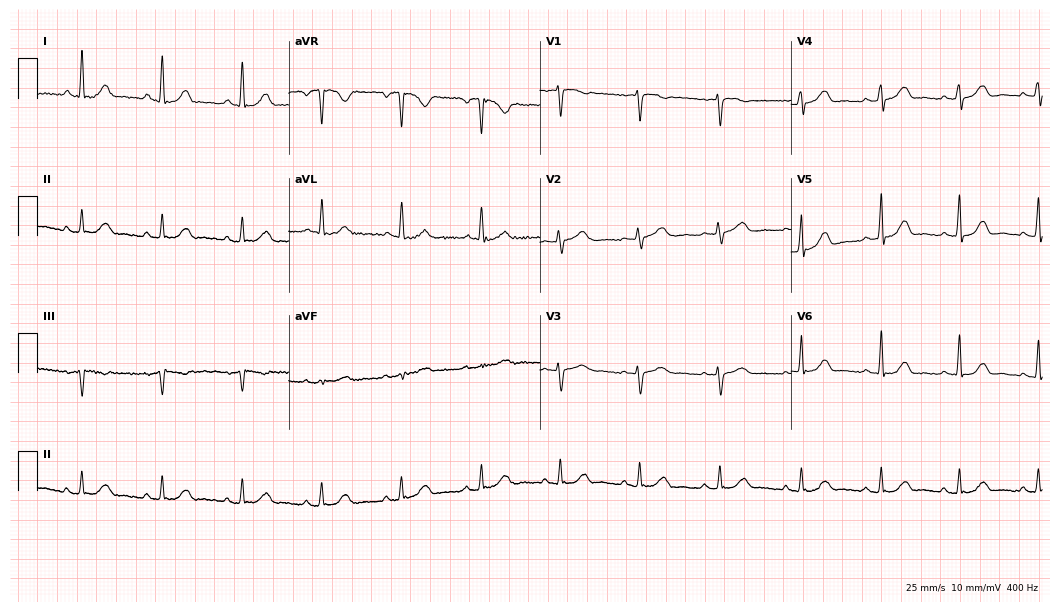
Standard 12-lead ECG recorded from a female patient, 67 years old. Read as a normal ECG.